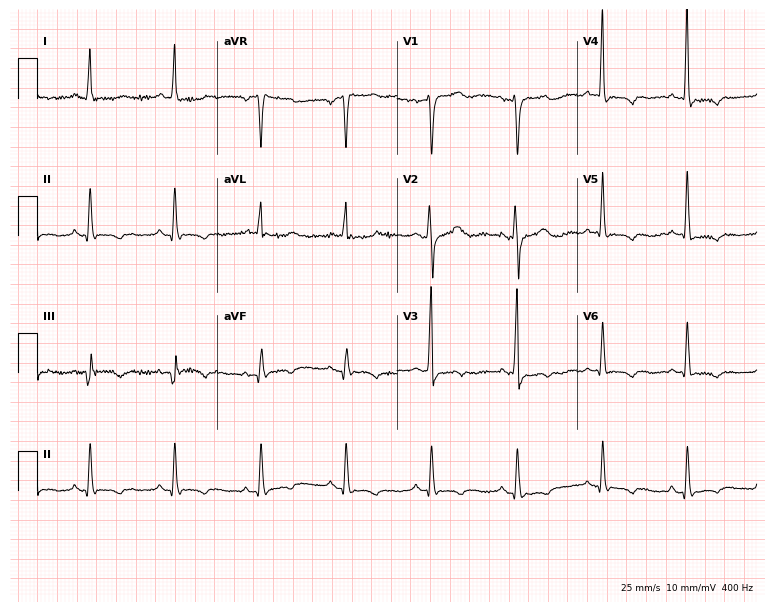
ECG (7.3-second recording at 400 Hz) — a woman, 55 years old. Screened for six findings — first-degree AV block, right bundle branch block, left bundle branch block, sinus bradycardia, atrial fibrillation, sinus tachycardia — none is recorded.